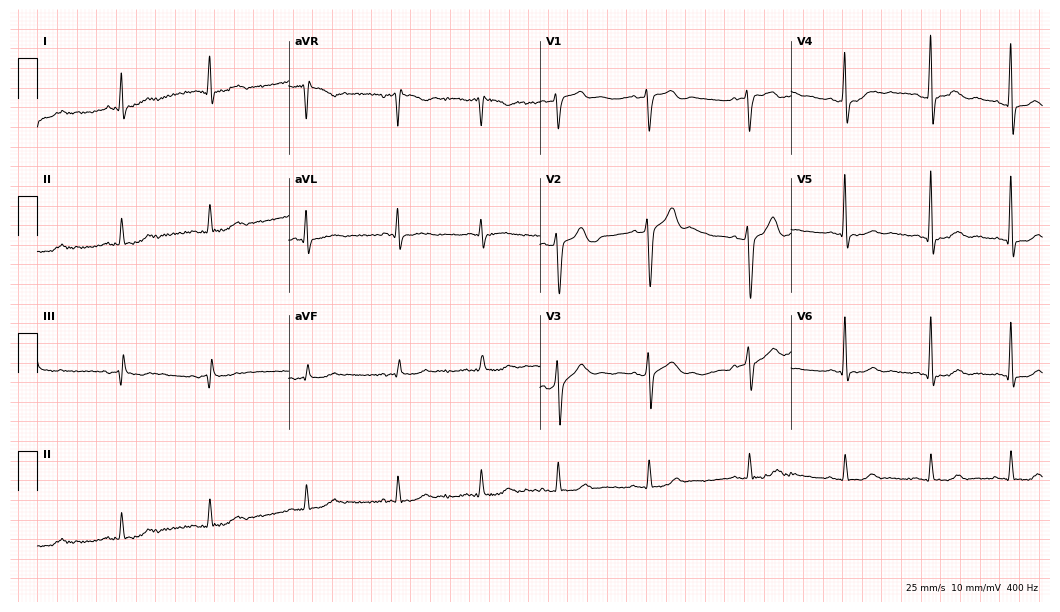
12-lead ECG from a man, 43 years old. No first-degree AV block, right bundle branch block, left bundle branch block, sinus bradycardia, atrial fibrillation or sinus tachycardia recorded for this tracing.